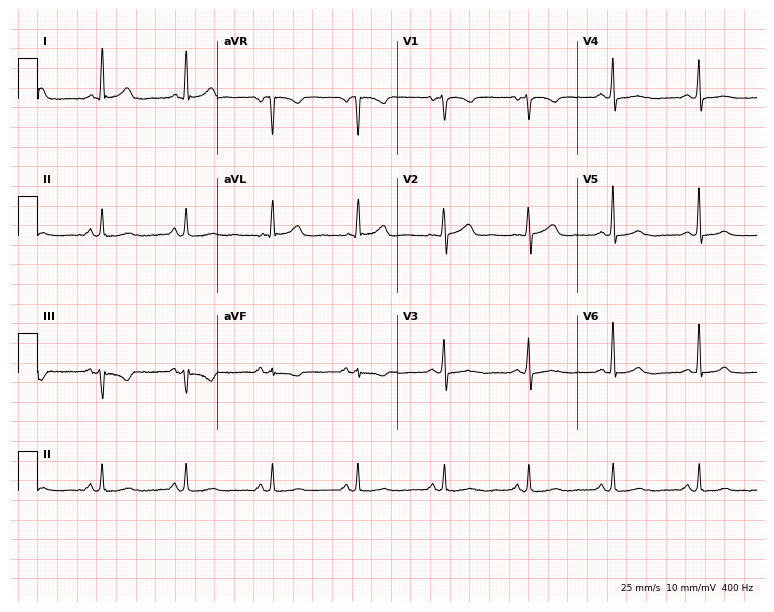
Standard 12-lead ECG recorded from a female, 66 years old (7.3-second recording at 400 Hz). None of these six findings is recorded: first-degree AV block, right bundle branch block (RBBB), left bundle branch block (LBBB), sinus bradycardia, atrial fibrillation (AF), sinus tachycardia. Other findings, if any, are not listed.